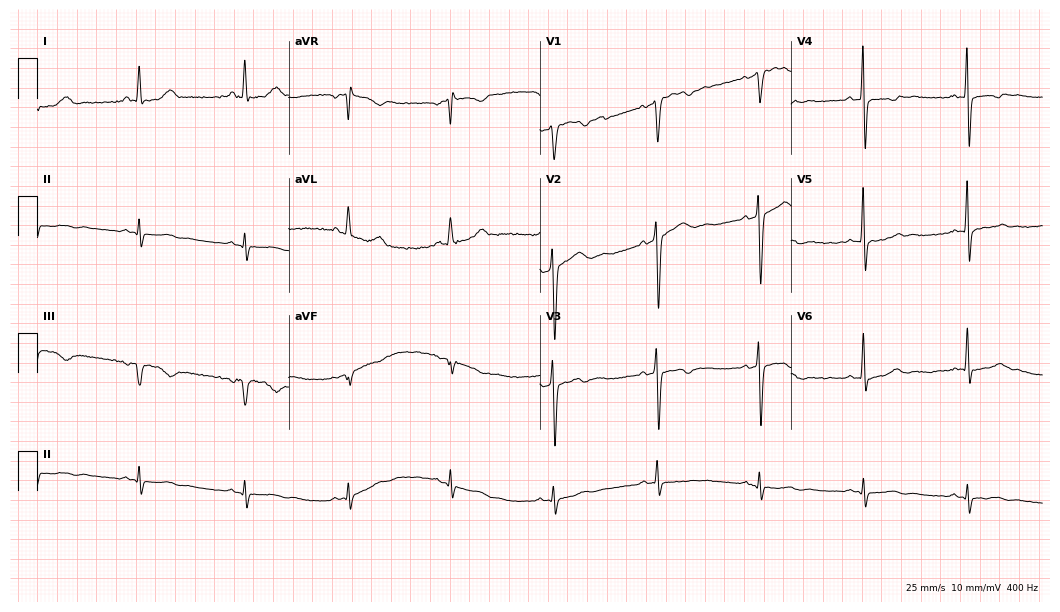
12-lead ECG from a male patient, 43 years old. Screened for six findings — first-degree AV block, right bundle branch block (RBBB), left bundle branch block (LBBB), sinus bradycardia, atrial fibrillation (AF), sinus tachycardia — none is recorded.